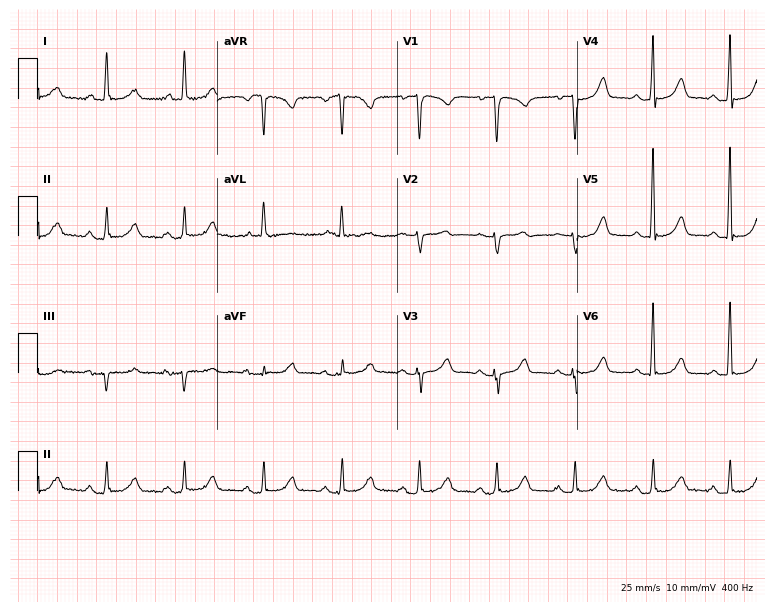
Resting 12-lead electrocardiogram (7.3-second recording at 400 Hz). Patient: a woman, 73 years old. Read as a normal ECG.